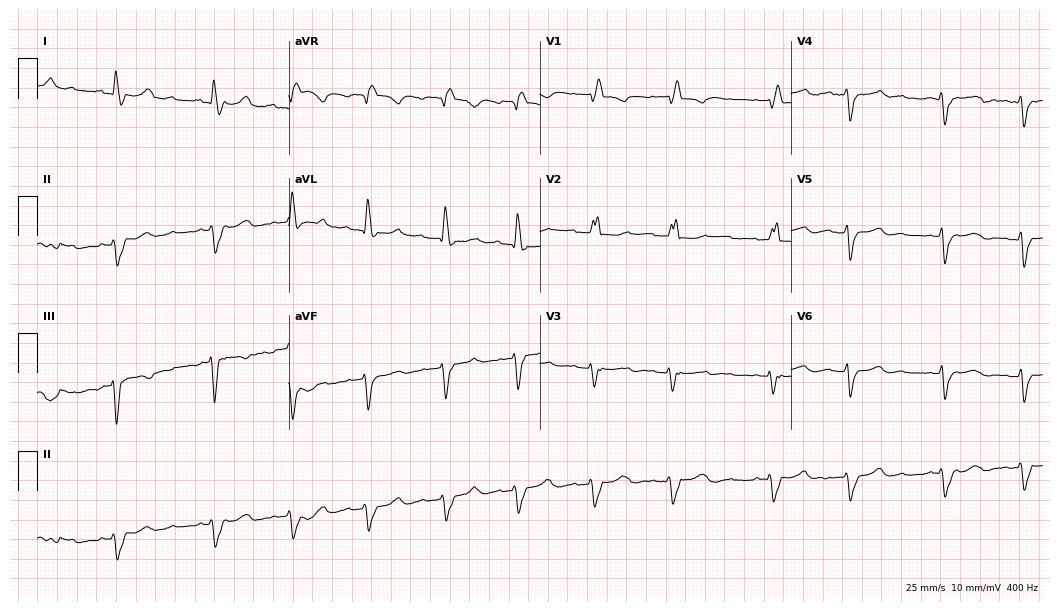
ECG (10.2-second recording at 400 Hz) — a 61-year-old woman. Findings include right bundle branch block.